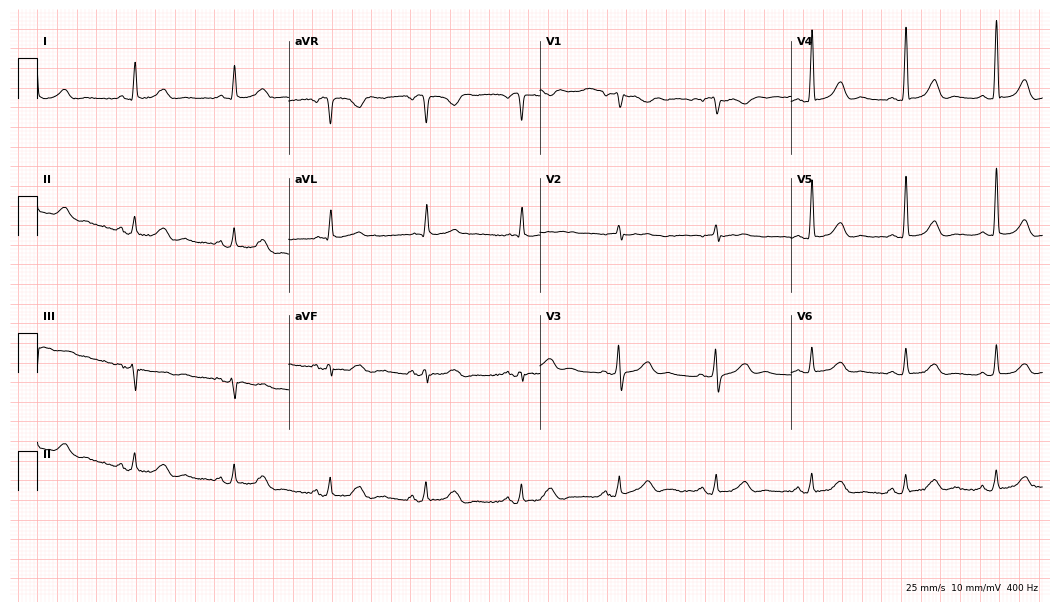
Resting 12-lead electrocardiogram (10.2-second recording at 400 Hz). Patient: an 80-year-old female. Read as a normal ECG.